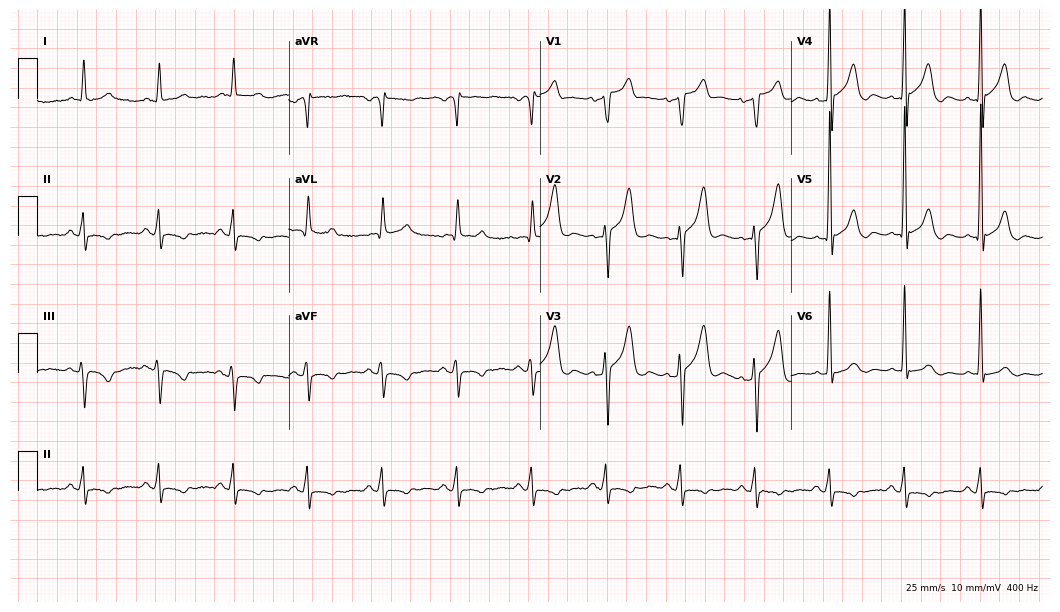
Electrocardiogram (10.2-second recording at 400 Hz), a 67-year-old male patient. Of the six screened findings (first-degree AV block, right bundle branch block (RBBB), left bundle branch block (LBBB), sinus bradycardia, atrial fibrillation (AF), sinus tachycardia), none is recorded. Findings outside these six are not listed.